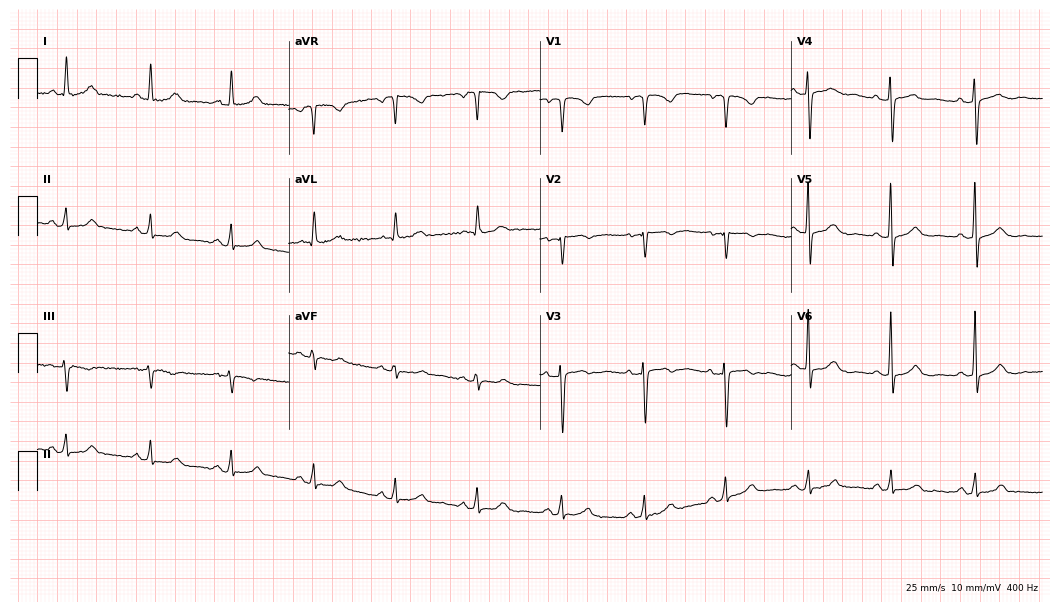
ECG — a 66-year-old female. Screened for six findings — first-degree AV block, right bundle branch block, left bundle branch block, sinus bradycardia, atrial fibrillation, sinus tachycardia — none is recorded. Findings outside these six are not listed.